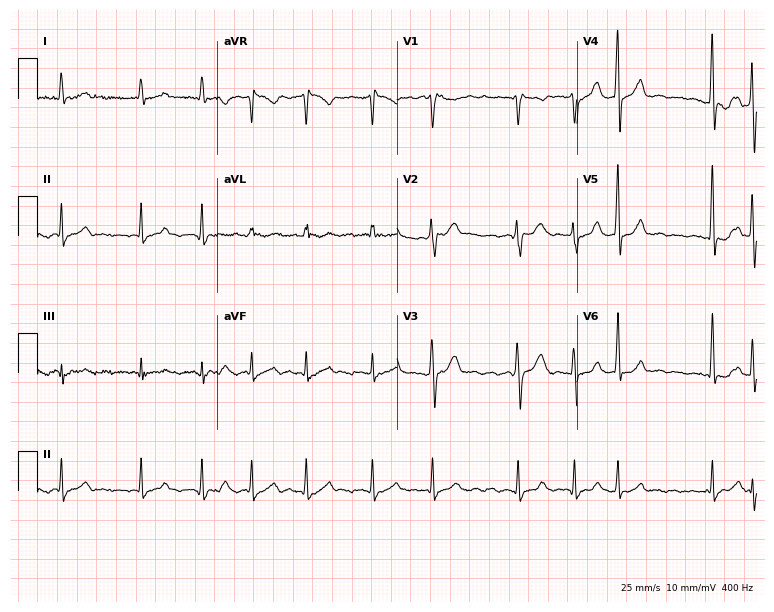
Standard 12-lead ECG recorded from a male patient, 53 years old. The tracing shows atrial fibrillation (AF).